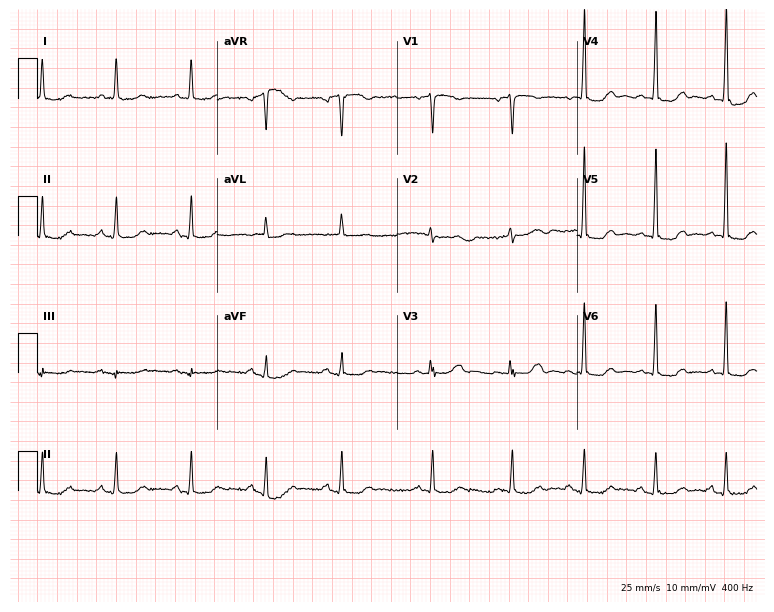
12-lead ECG from a female patient, 83 years old (7.3-second recording at 400 Hz). Recorded interpretation: within normal limits.